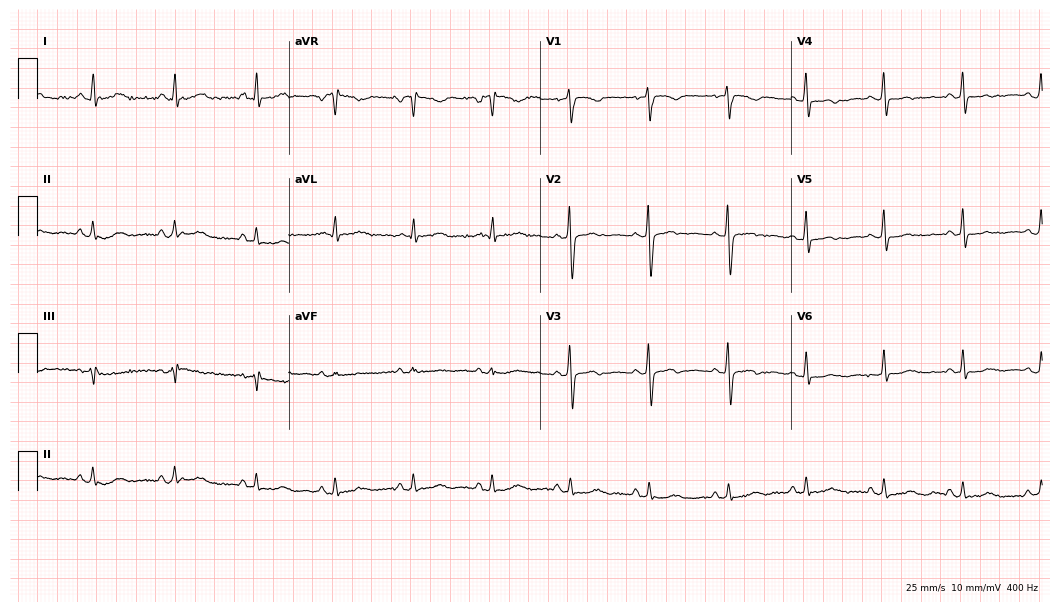
12-lead ECG from a woman, 54 years old (10.2-second recording at 400 Hz). No first-degree AV block, right bundle branch block (RBBB), left bundle branch block (LBBB), sinus bradycardia, atrial fibrillation (AF) or sinus tachycardia recorded for this tracing. Only these six findings were labelled.